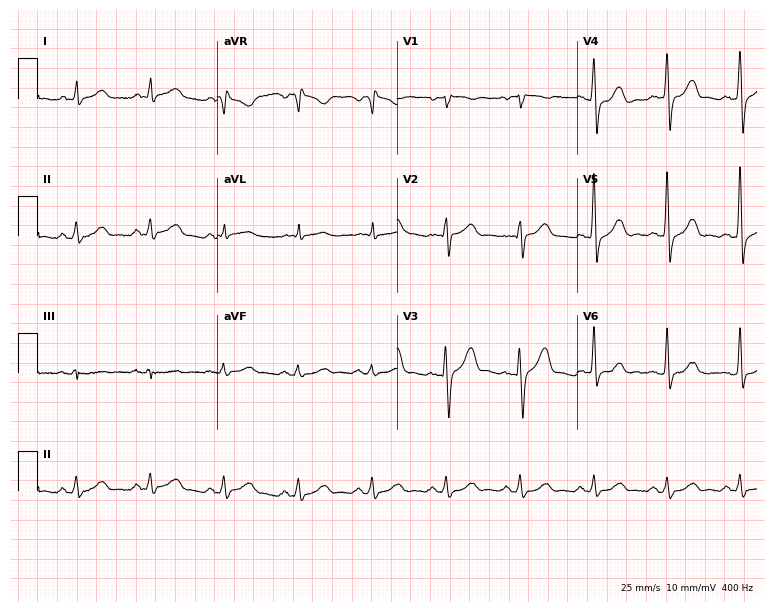
Standard 12-lead ECG recorded from a 62-year-old male. None of these six findings is recorded: first-degree AV block, right bundle branch block, left bundle branch block, sinus bradycardia, atrial fibrillation, sinus tachycardia. Other findings, if any, are not listed.